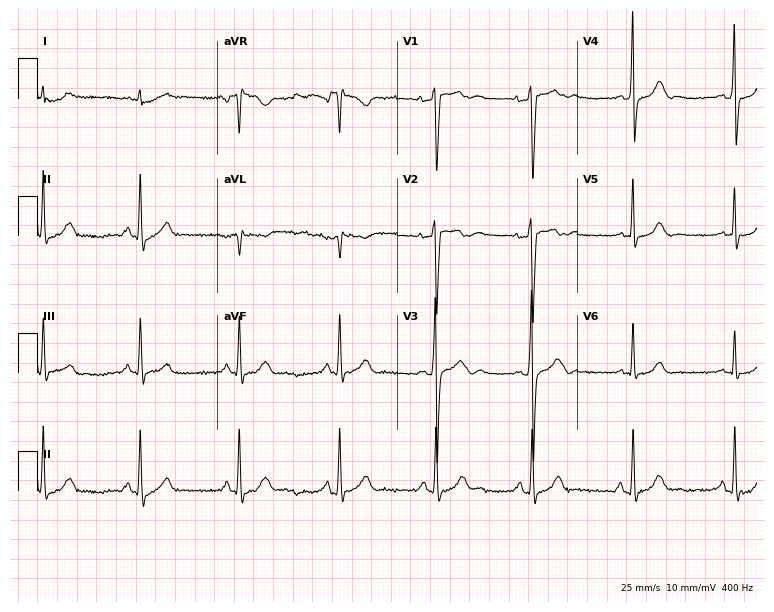
Standard 12-lead ECG recorded from a 45-year-old male. Read as a normal ECG.